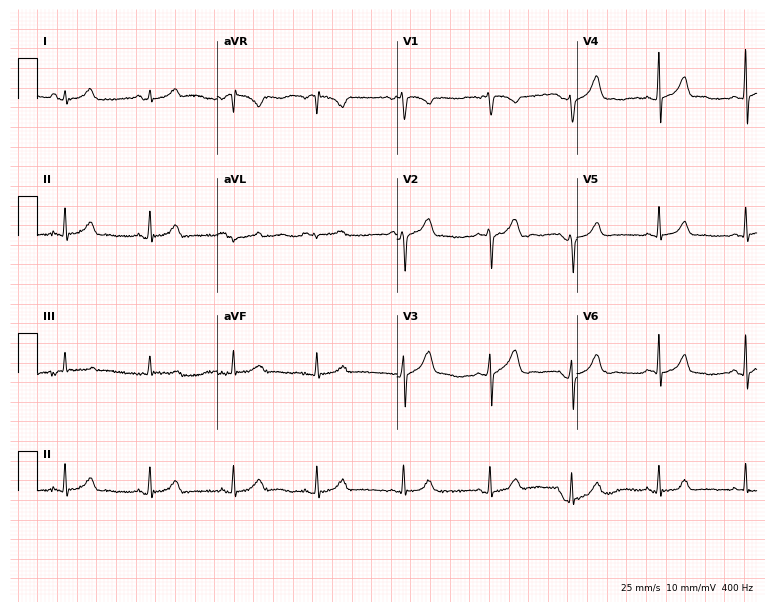
12-lead ECG from a female, 22 years old (7.3-second recording at 400 Hz). Recorded interpretation: within normal limits.